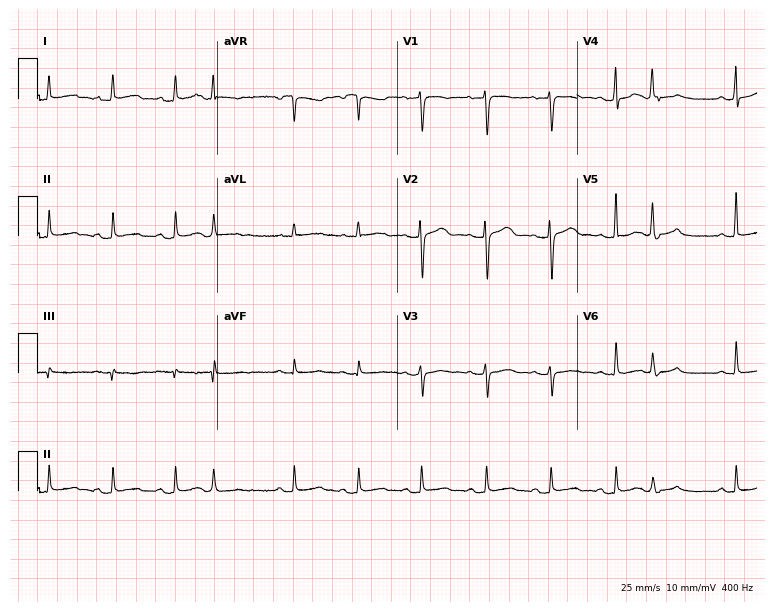
12-lead ECG from a female, 62 years old (7.3-second recording at 400 Hz). No first-degree AV block, right bundle branch block (RBBB), left bundle branch block (LBBB), sinus bradycardia, atrial fibrillation (AF) or sinus tachycardia recorded for this tracing.